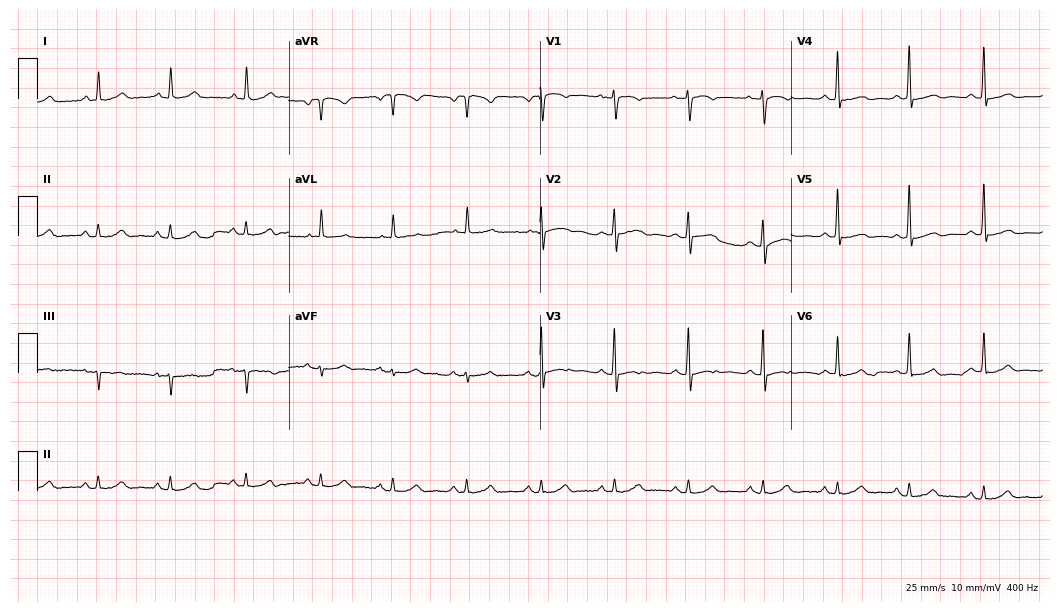
12-lead ECG from a 62-year-old female patient (10.2-second recording at 400 Hz). No first-degree AV block, right bundle branch block, left bundle branch block, sinus bradycardia, atrial fibrillation or sinus tachycardia recorded for this tracing.